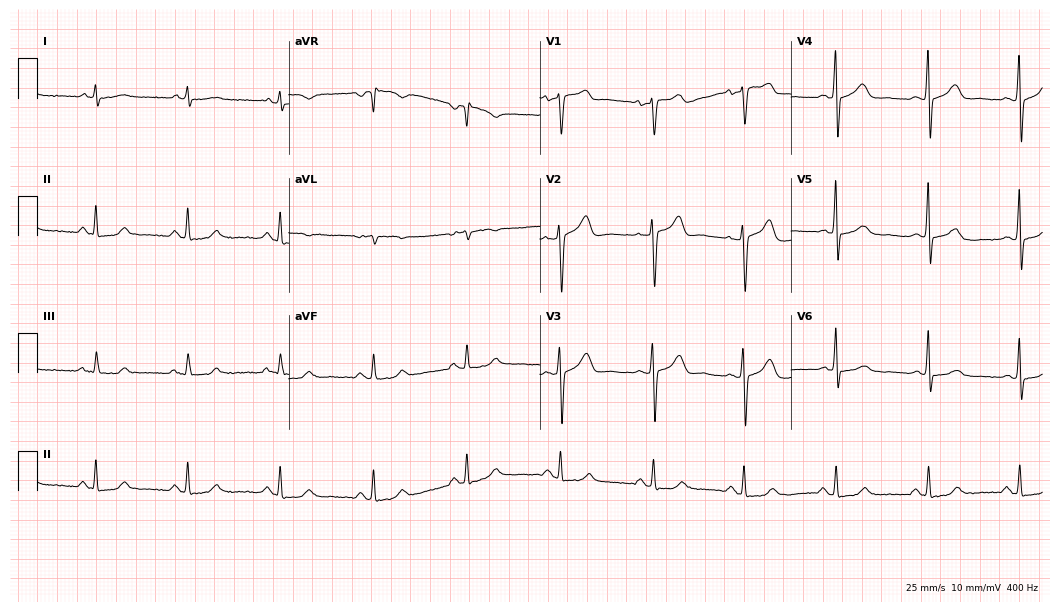
12-lead ECG from a male patient, 73 years old (10.2-second recording at 400 Hz). No first-degree AV block, right bundle branch block (RBBB), left bundle branch block (LBBB), sinus bradycardia, atrial fibrillation (AF) or sinus tachycardia recorded for this tracing. Findings outside these six are not listed.